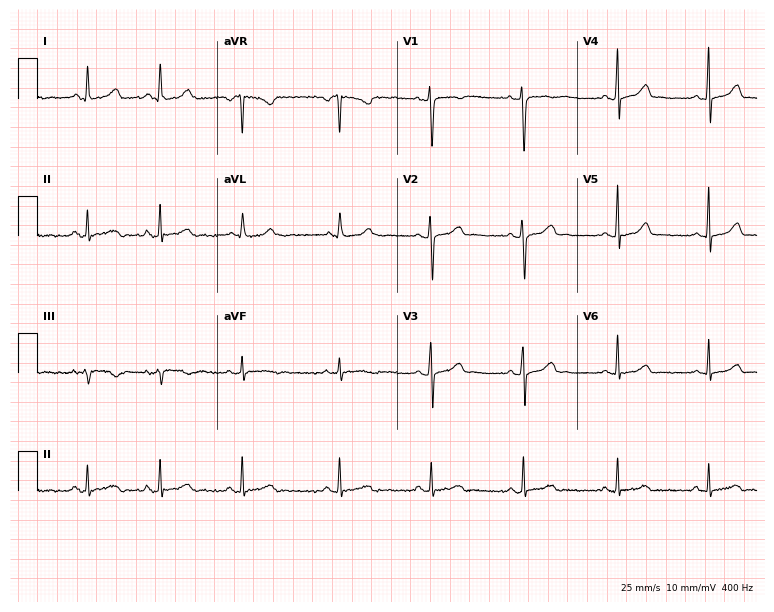
Standard 12-lead ECG recorded from a female patient, 20 years old. None of these six findings is recorded: first-degree AV block, right bundle branch block, left bundle branch block, sinus bradycardia, atrial fibrillation, sinus tachycardia. Findings outside these six are not listed.